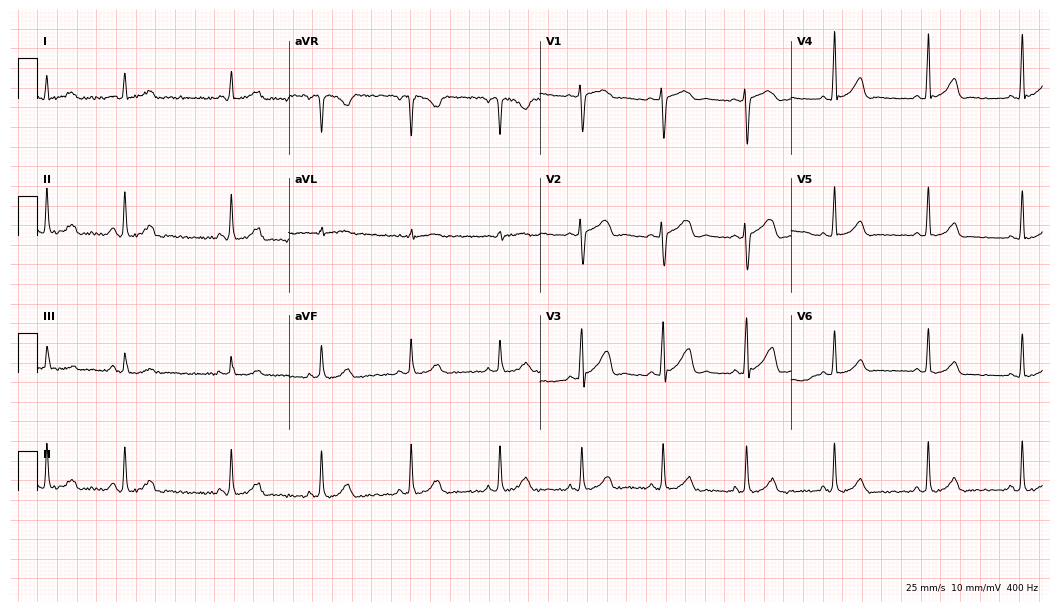
12-lead ECG (10.2-second recording at 400 Hz) from a 28-year-old female patient. Labelled as a normal ECG.